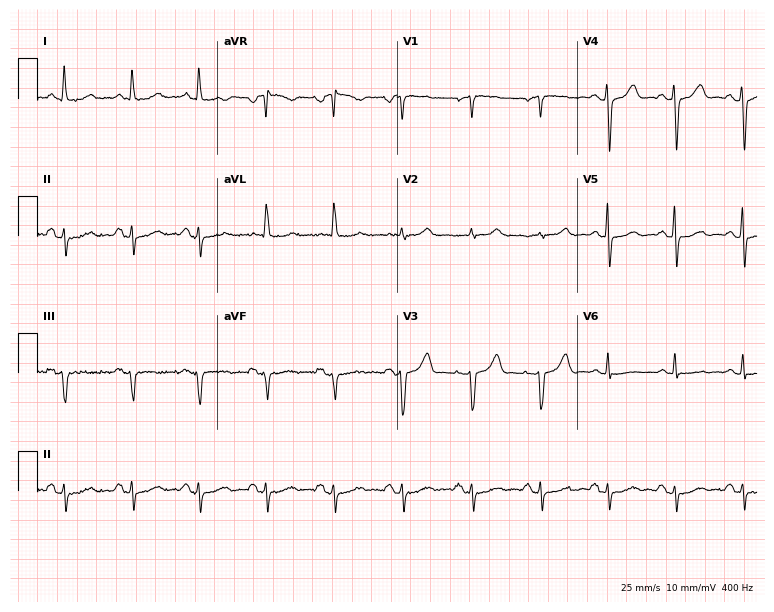
Electrocardiogram (7.3-second recording at 400 Hz), a 74-year-old woman. Of the six screened findings (first-degree AV block, right bundle branch block (RBBB), left bundle branch block (LBBB), sinus bradycardia, atrial fibrillation (AF), sinus tachycardia), none is recorded. Other findings, if any, are not listed.